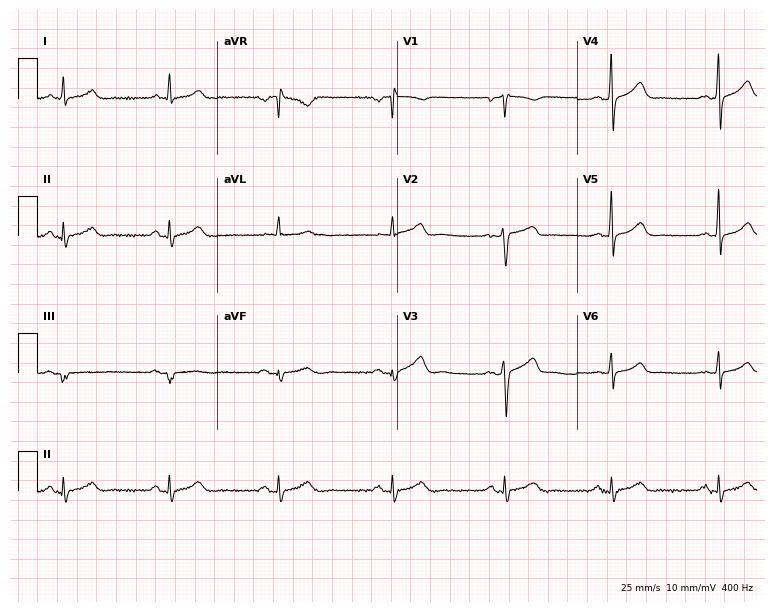
12-lead ECG from a 35-year-old male patient. Recorded interpretation: within normal limits.